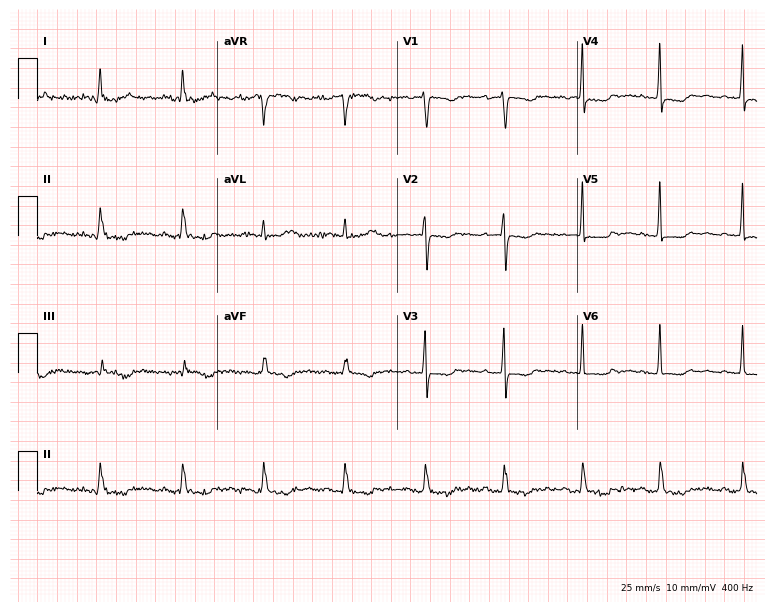
12-lead ECG from a female, 77 years old. Screened for six findings — first-degree AV block, right bundle branch block, left bundle branch block, sinus bradycardia, atrial fibrillation, sinus tachycardia — none is recorded.